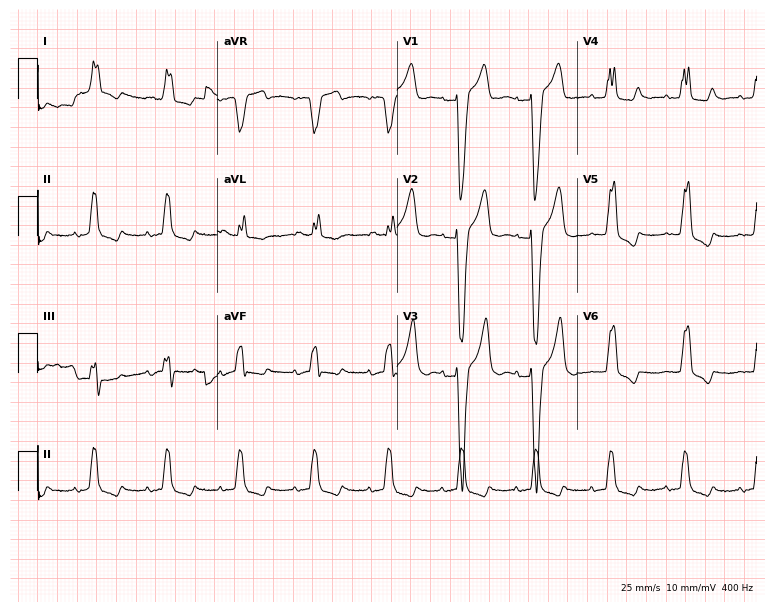
Electrocardiogram (7.3-second recording at 400 Hz), a male patient, 70 years old. Interpretation includes left bundle branch block.